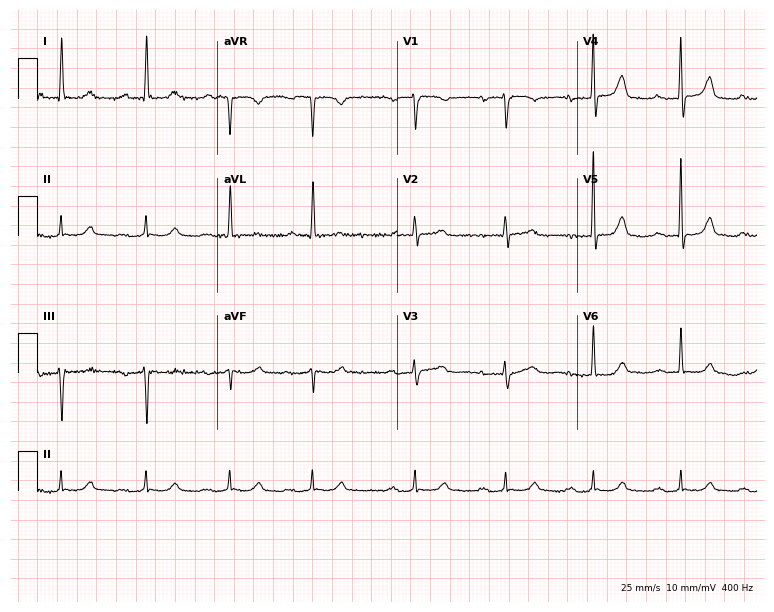
ECG — a 72-year-old female. Labelled as a normal ECG.